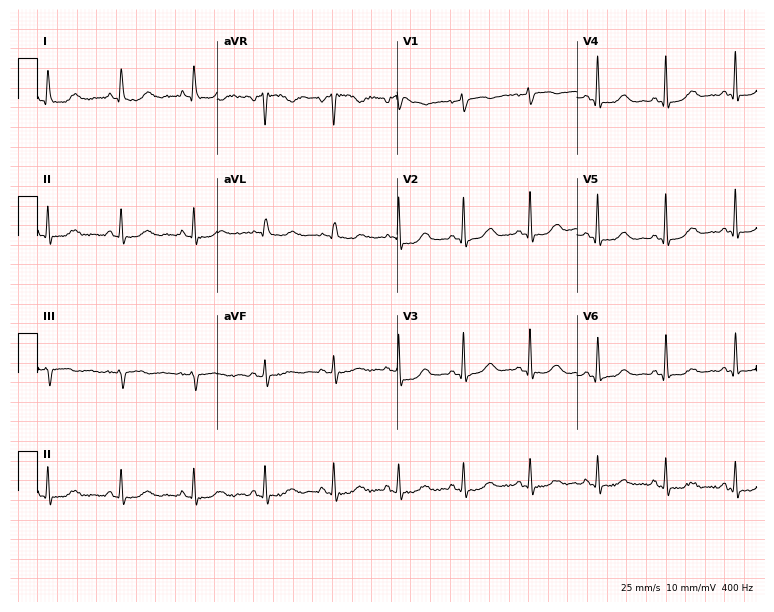
12-lead ECG from a 62-year-old woman (7.3-second recording at 400 Hz). No first-degree AV block, right bundle branch block, left bundle branch block, sinus bradycardia, atrial fibrillation or sinus tachycardia recorded for this tracing. Findings outside these six are not listed.